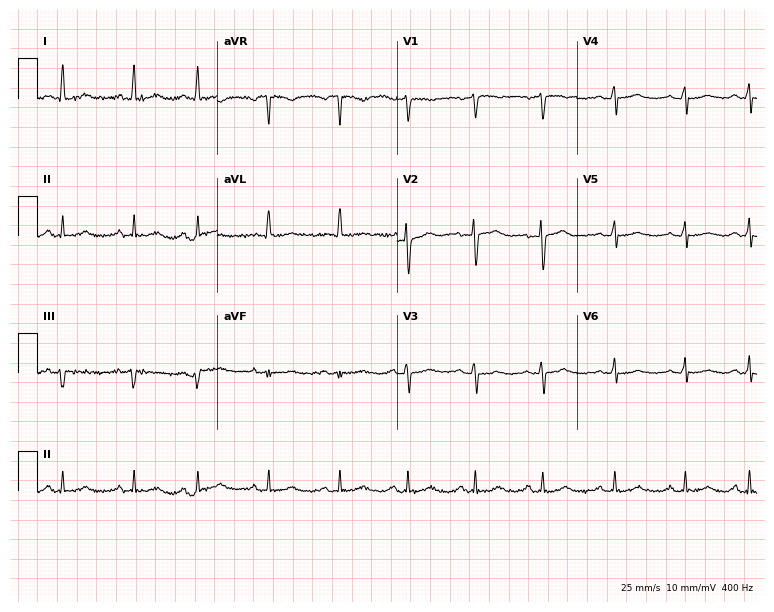
Electrocardiogram (7.3-second recording at 400 Hz), a female, 58 years old. Of the six screened findings (first-degree AV block, right bundle branch block, left bundle branch block, sinus bradycardia, atrial fibrillation, sinus tachycardia), none is recorded. Other findings, if any, are not listed.